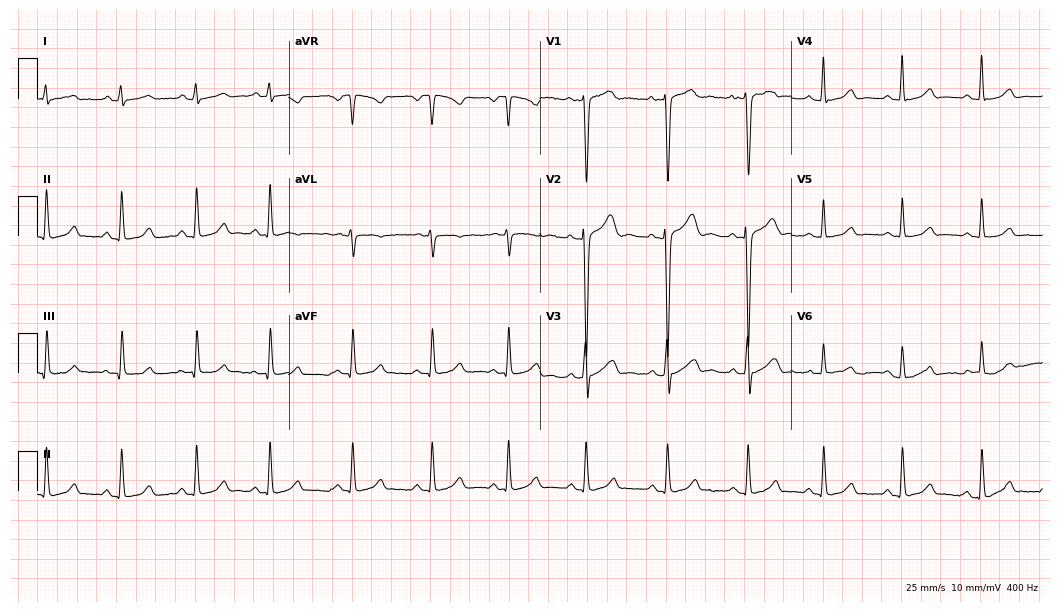
ECG — a female patient, 18 years old. Labelled as a normal ECG.